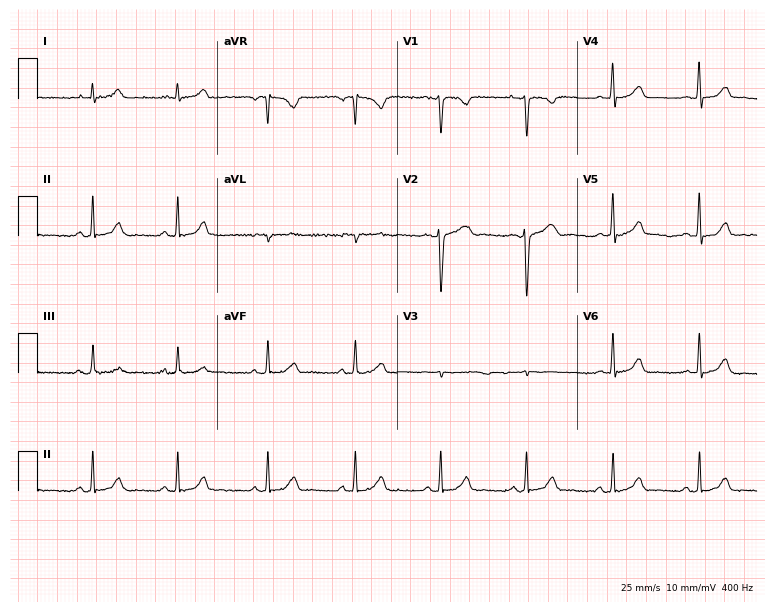
Electrocardiogram, a woman, 22 years old. Of the six screened findings (first-degree AV block, right bundle branch block, left bundle branch block, sinus bradycardia, atrial fibrillation, sinus tachycardia), none is recorded.